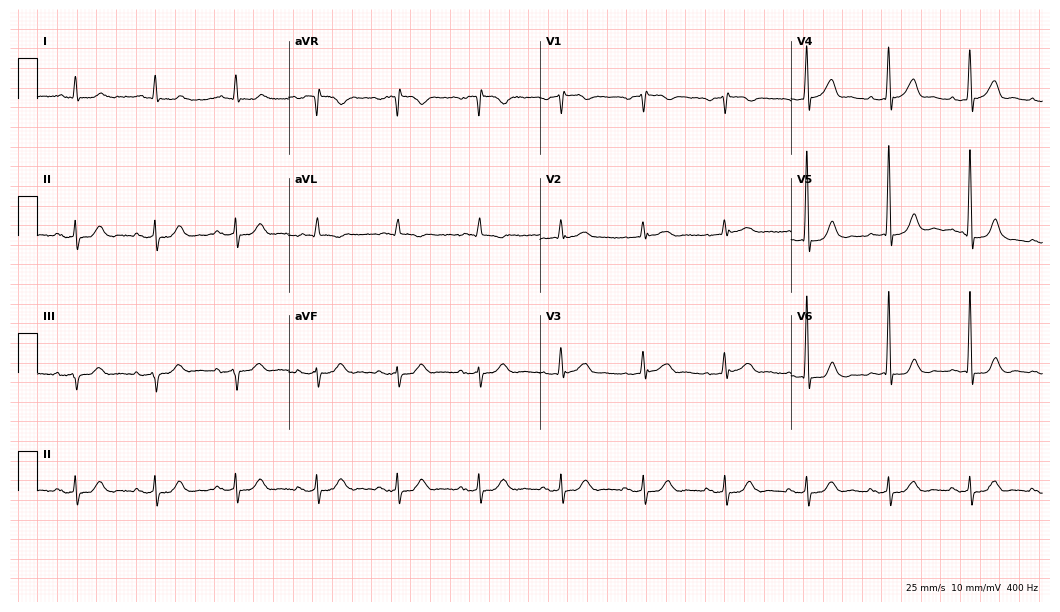
12-lead ECG (10.2-second recording at 400 Hz) from a male, 76 years old. Screened for six findings — first-degree AV block, right bundle branch block, left bundle branch block, sinus bradycardia, atrial fibrillation, sinus tachycardia — none is recorded.